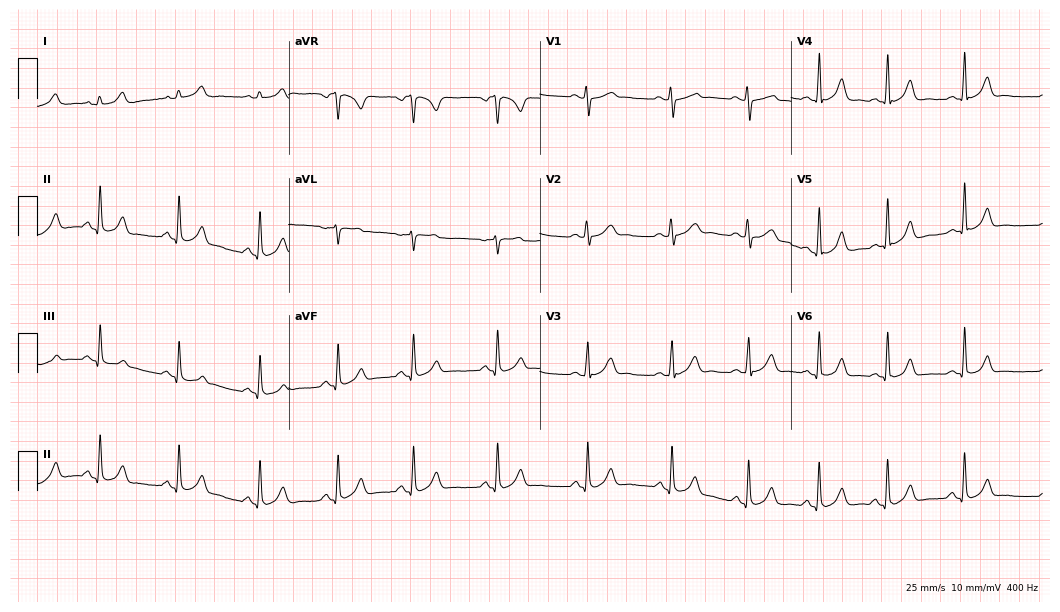
12-lead ECG (10.2-second recording at 400 Hz) from a female, 20 years old. Labelled as a normal ECG.